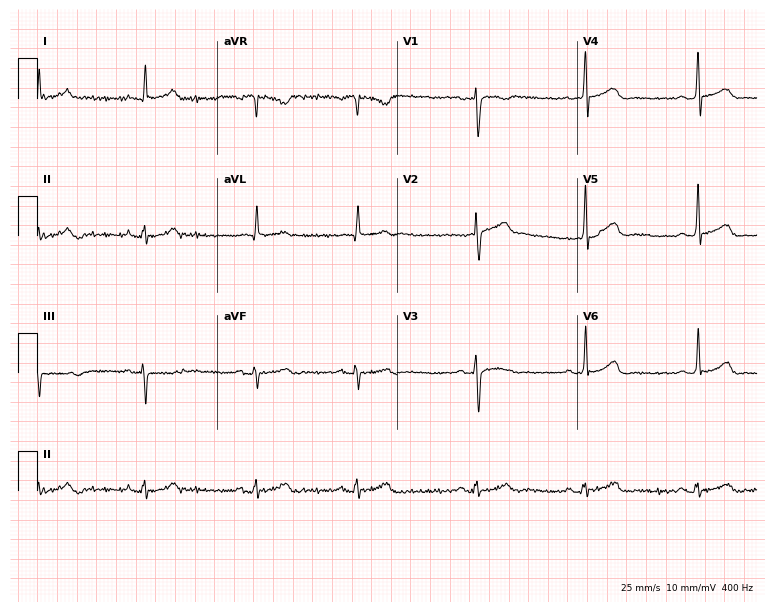
Electrocardiogram, a 68-year-old male. Overall reading on record: normal ECG.